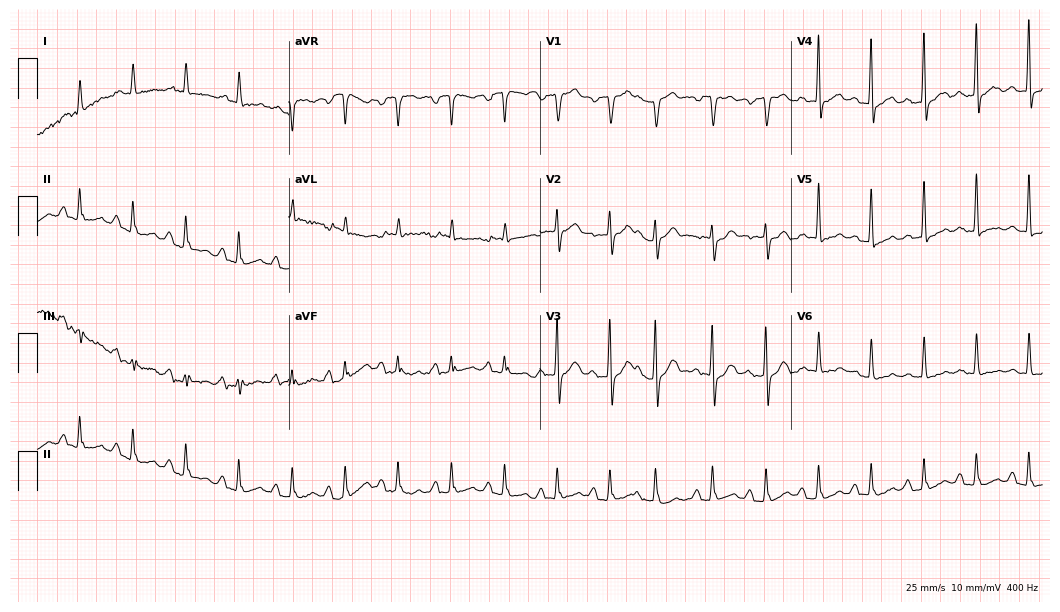
ECG (10.2-second recording at 400 Hz) — a man, 82 years old. Findings include sinus tachycardia (a sinus rate of 100 beats per minute or more).